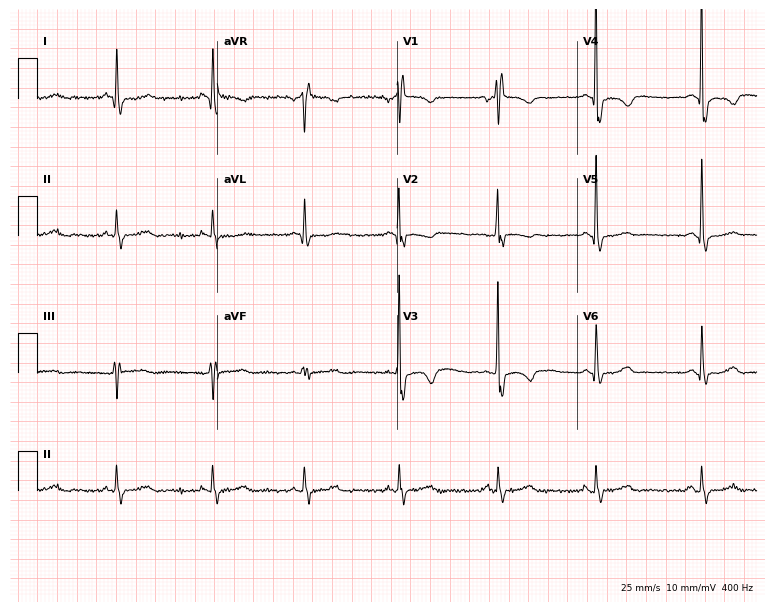
Standard 12-lead ECG recorded from a 73-year-old female patient (7.3-second recording at 400 Hz). None of these six findings is recorded: first-degree AV block, right bundle branch block, left bundle branch block, sinus bradycardia, atrial fibrillation, sinus tachycardia. Only these six findings were labelled.